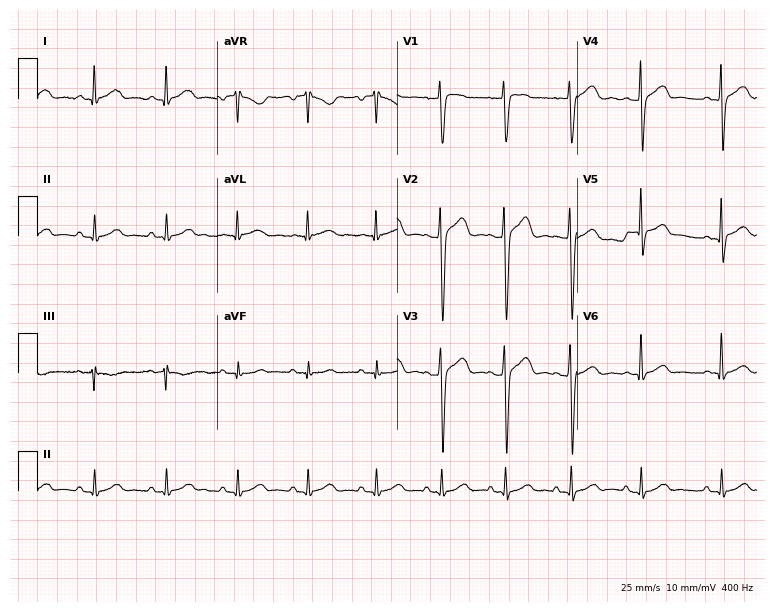
ECG (7.3-second recording at 400 Hz) — a 38-year-old male patient. Screened for six findings — first-degree AV block, right bundle branch block, left bundle branch block, sinus bradycardia, atrial fibrillation, sinus tachycardia — none is recorded.